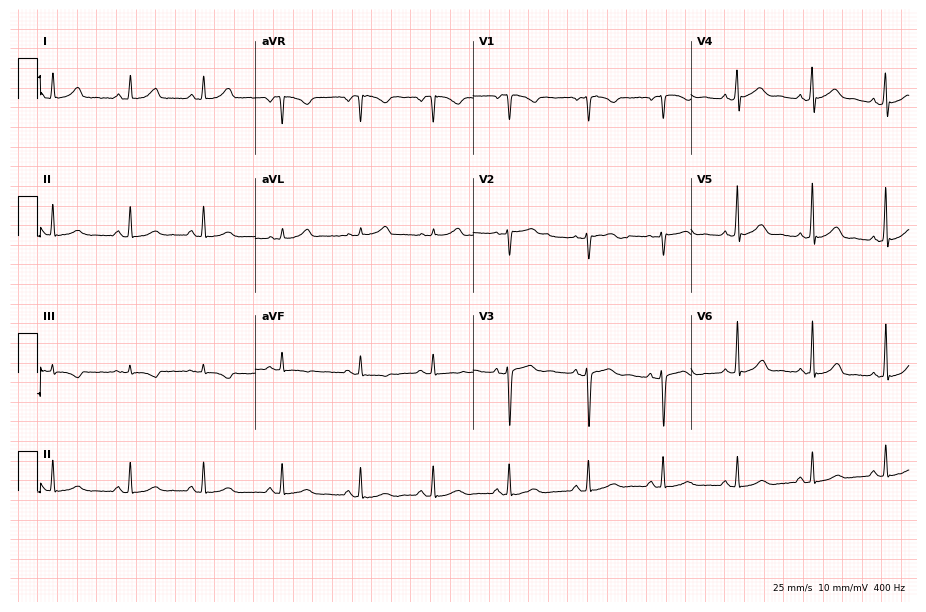
Resting 12-lead electrocardiogram (8.9-second recording at 400 Hz). Patient: a female, 17 years old. Read as a normal ECG.